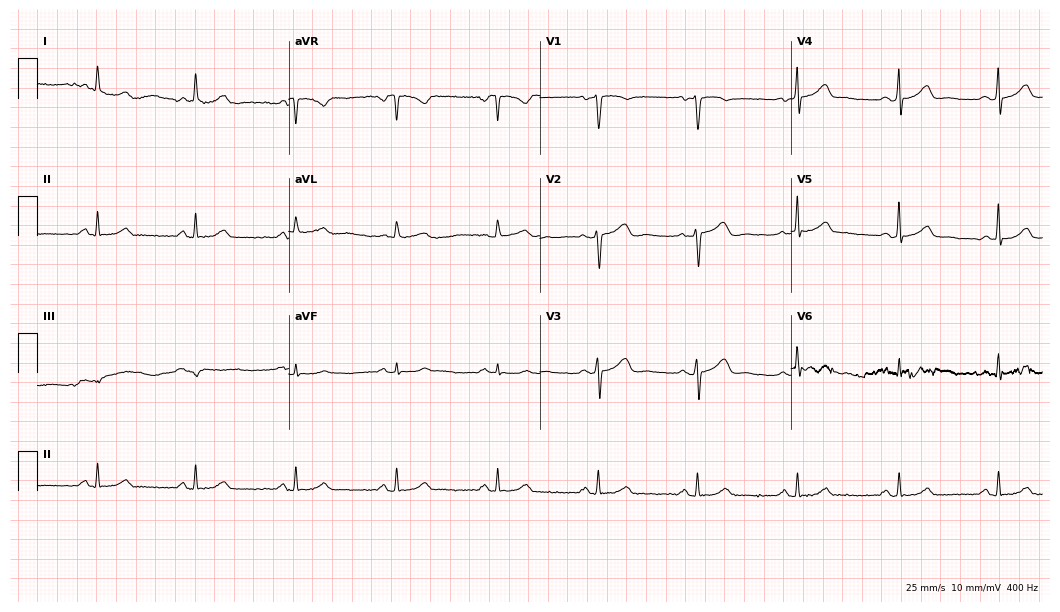
ECG (10.2-second recording at 400 Hz) — a 55-year-old female. Labelled as a normal ECG.